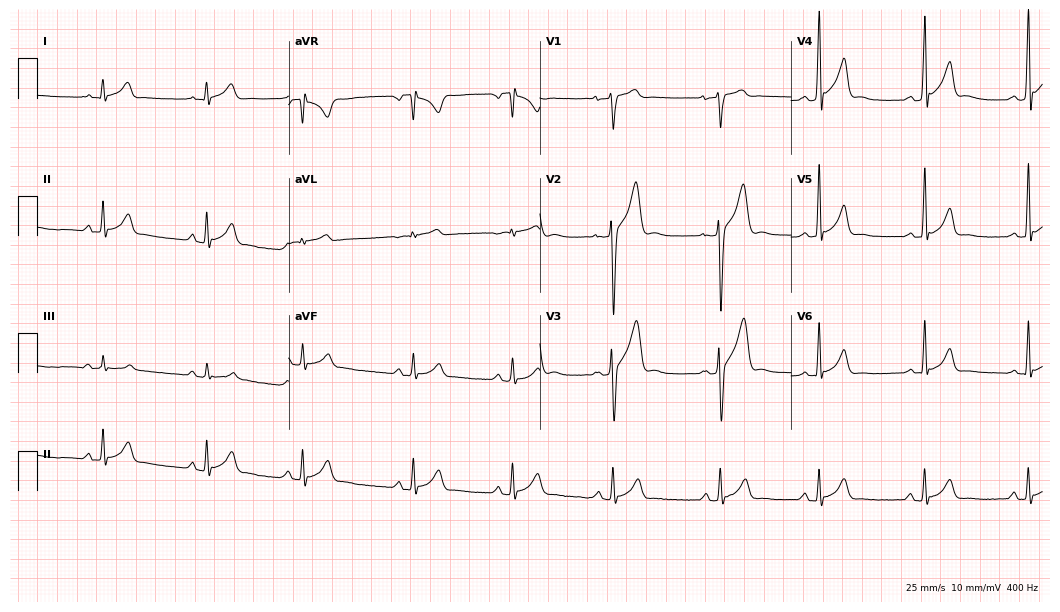
Electrocardiogram, an 18-year-old man. Overall reading on record: normal ECG.